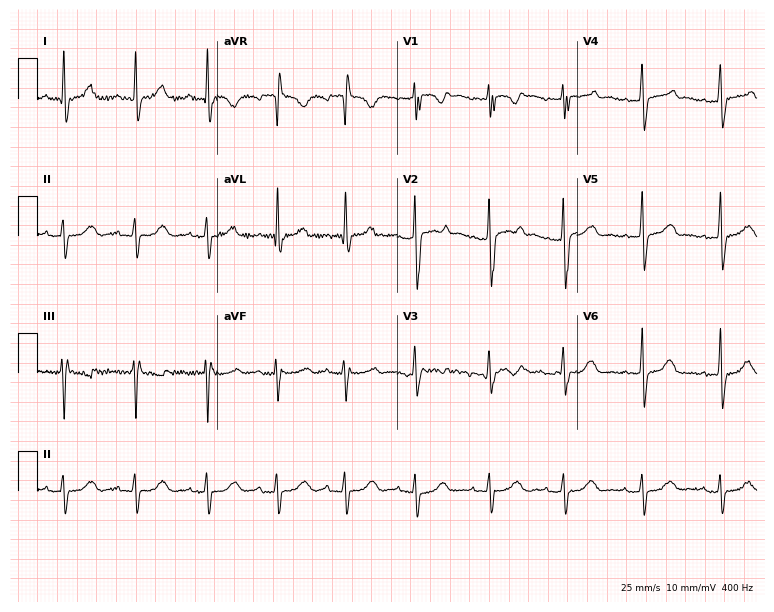
ECG — a 31-year-old woman. Screened for six findings — first-degree AV block, right bundle branch block, left bundle branch block, sinus bradycardia, atrial fibrillation, sinus tachycardia — none is recorded. Other findings, if any, are not listed.